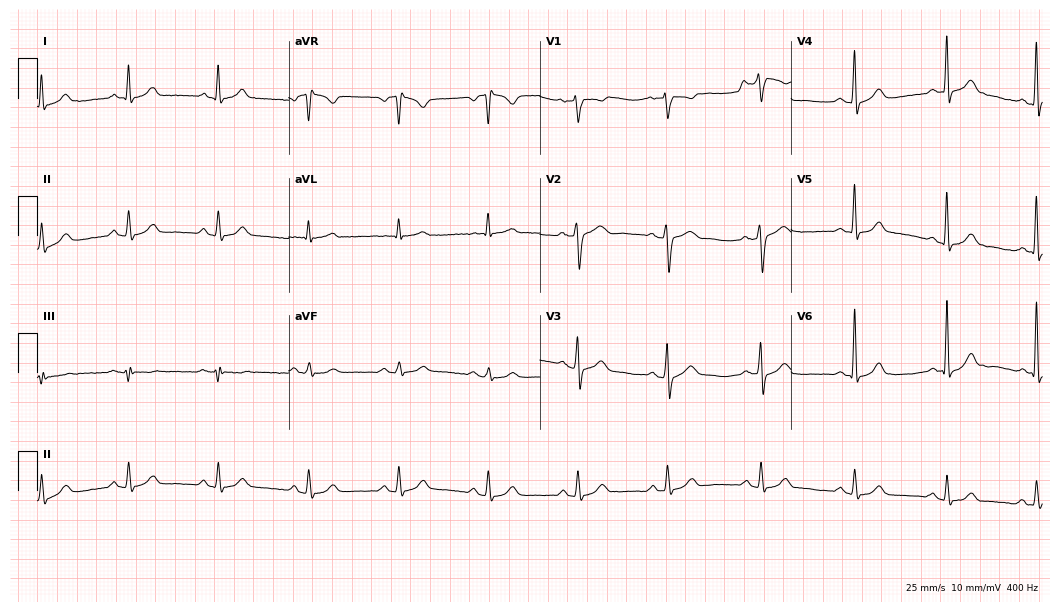
12-lead ECG from a 65-year-old man. Screened for six findings — first-degree AV block, right bundle branch block, left bundle branch block, sinus bradycardia, atrial fibrillation, sinus tachycardia — none is recorded. Other findings, if any, are not listed.